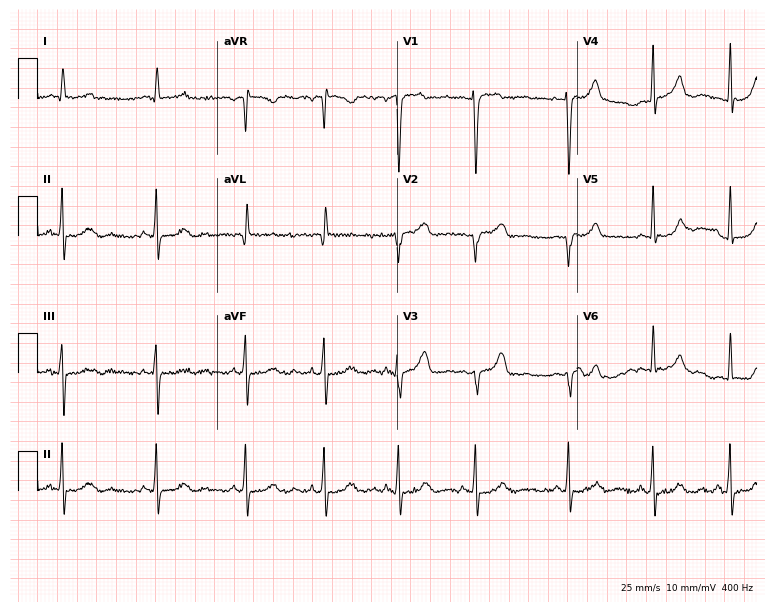
ECG — a woman, 33 years old. Labelled as a normal ECG.